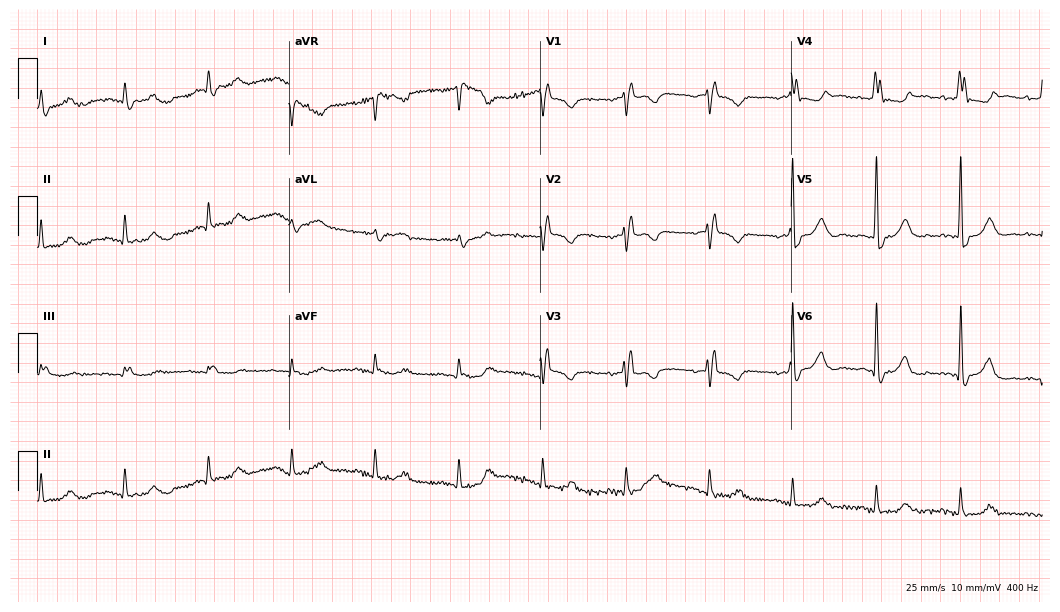
12-lead ECG from a man, 83 years old (10.2-second recording at 400 Hz). Shows right bundle branch block.